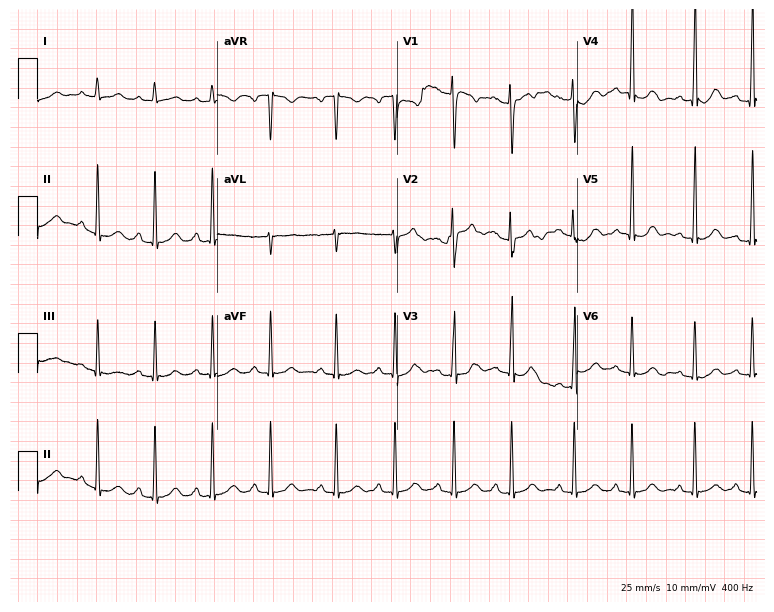
ECG — a 22-year-old woman. Screened for six findings — first-degree AV block, right bundle branch block, left bundle branch block, sinus bradycardia, atrial fibrillation, sinus tachycardia — none is recorded. Findings outside these six are not listed.